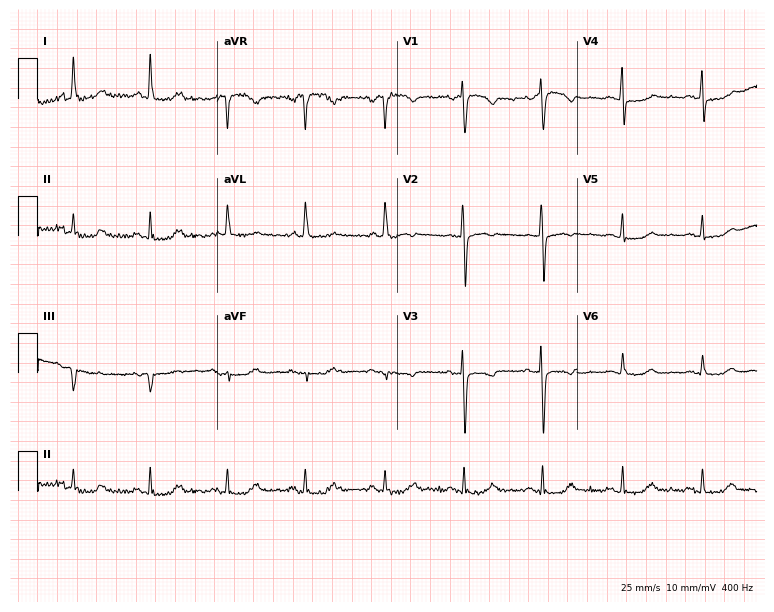
Standard 12-lead ECG recorded from a 62-year-old female patient. None of these six findings is recorded: first-degree AV block, right bundle branch block (RBBB), left bundle branch block (LBBB), sinus bradycardia, atrial fibrillation (AF), sinus tachycardia. Other findings, if any, are not listed.